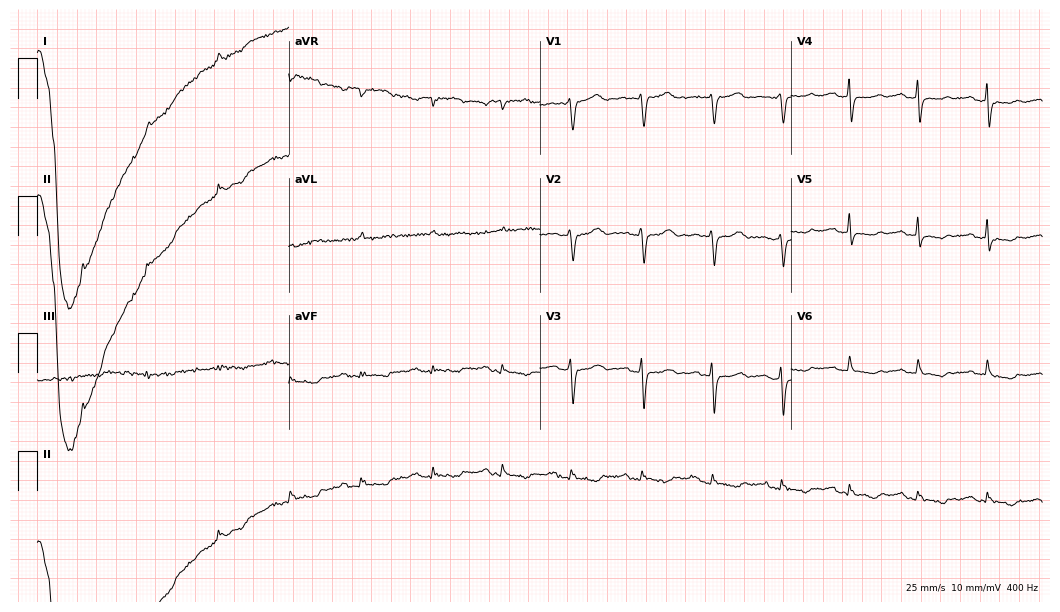
ECG (10.2-second recording at 400 Hz) — a male, 82 years old. Screened for six findings — first-degree AV block, right bundle branch block, left bundle branch block, sinus bradycardia, atrial fibrillation, sinus tachycardia — none is recorded.